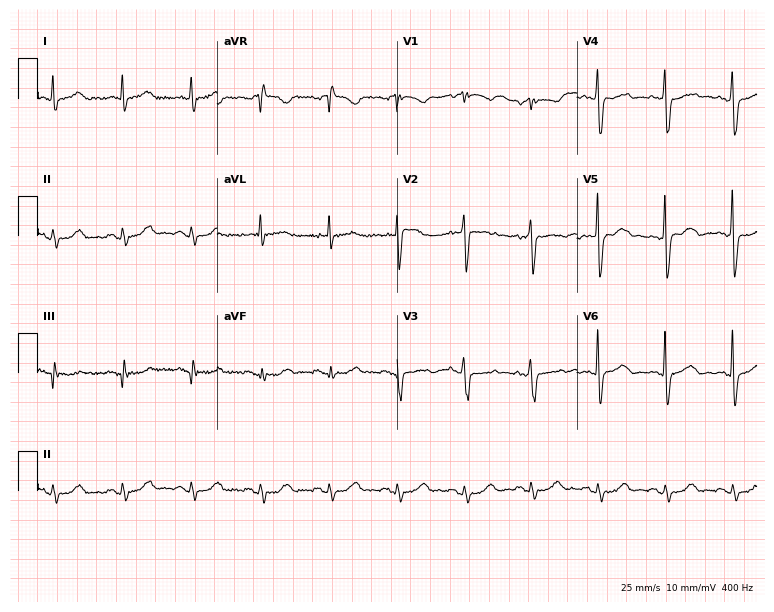
12-lead ECG (7.3-second recording at 400 Hz) from a male, 64 years old. Labelled as a normal ECG.